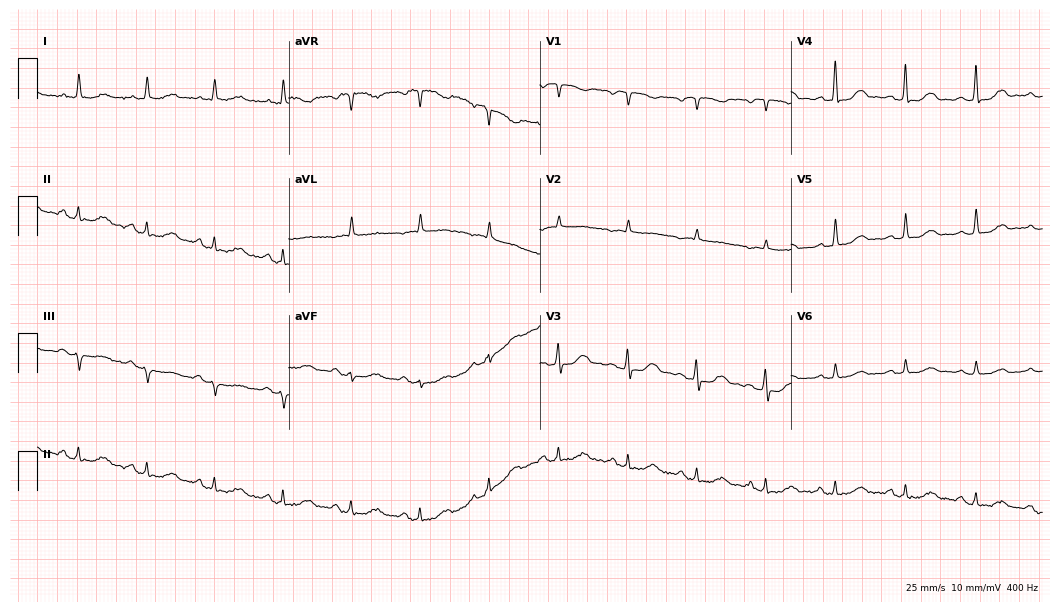
Electrocardiogram (10.2-second recording at 400 Hz), a woman, 73 years old. Of the six screened findings (first-degree AV block, right bundle branch block, left bundle branch block, sinus bradycardia, atrial fibrillation, sinus tachycardia), none is recorded. Findings outside these six are not listed.